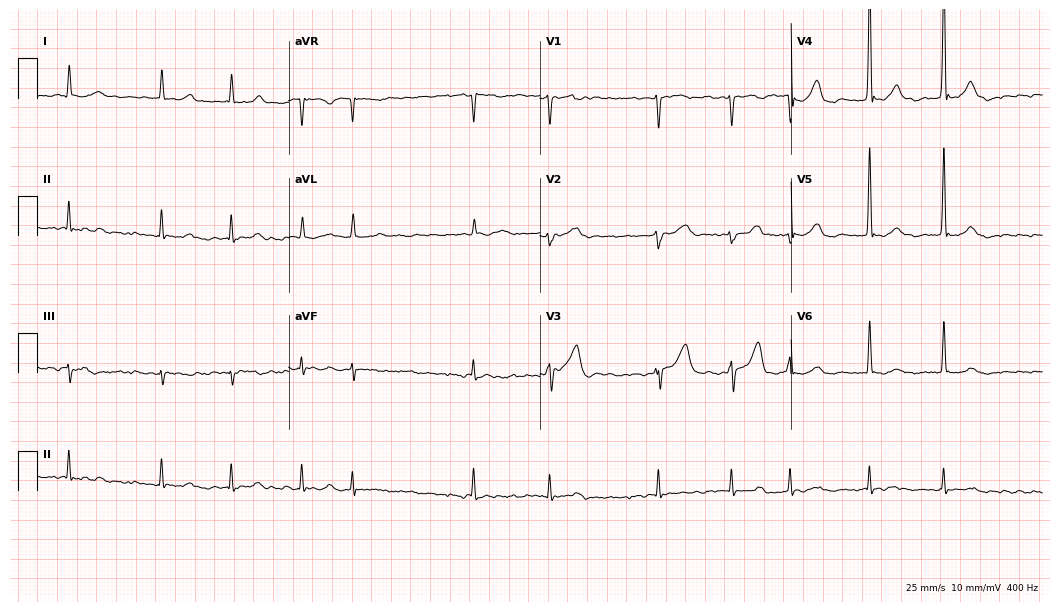
Resting 12-lead electrocardiogram (10.2-second recording at 400 Hz). Patient: a male, 70 years old. The tracing shows atrial fibrillation (AF).